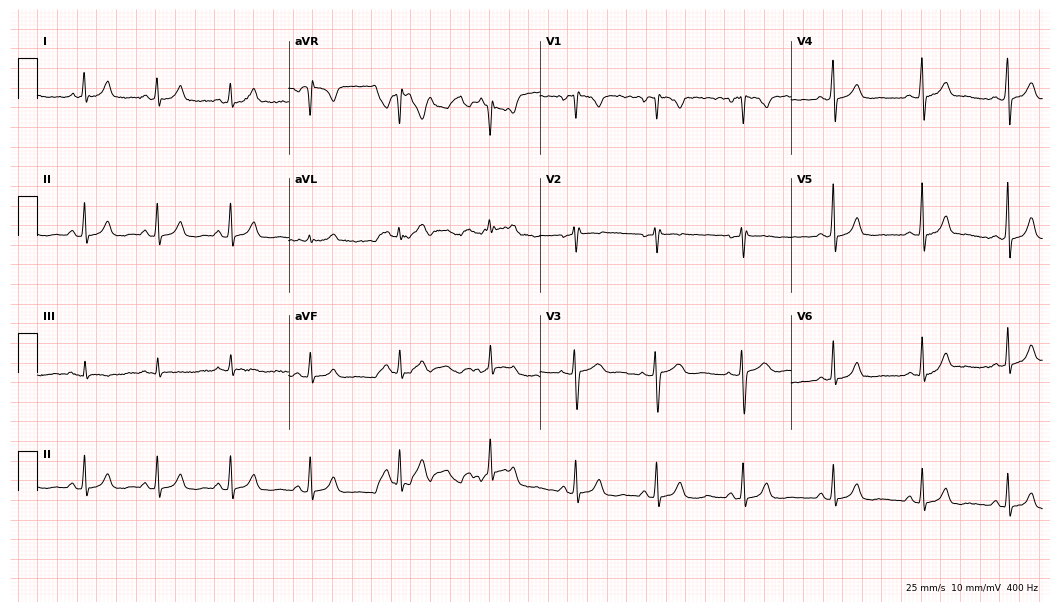
Standard 12-lead ECG recorded from a 32-year-old female. None of these six findings is recorded: first-degree AV block, right bundle branch block, left bundle branch block, sinus bradycardia, atrial fibrillation, sinus tachycardia.